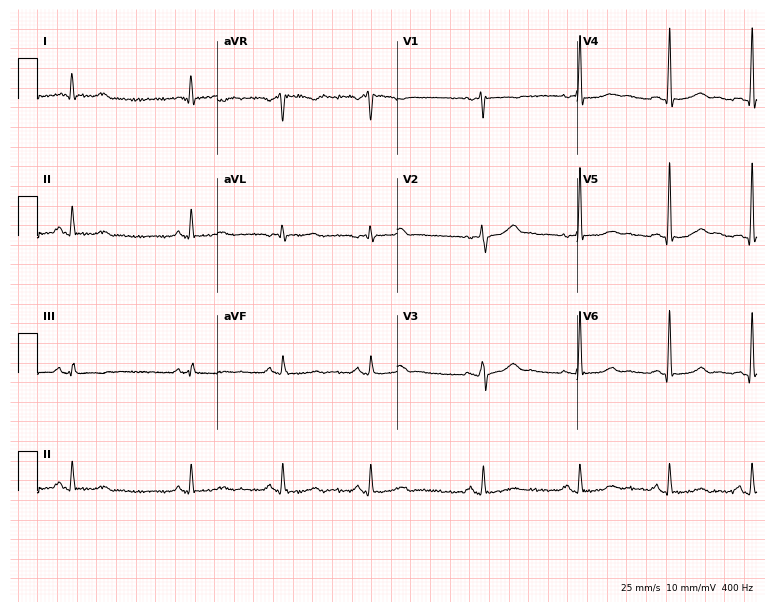
ECG (7.3-second recording at 400 Hz) — a female patient, 45 years old. Labelled as a normal ECG.